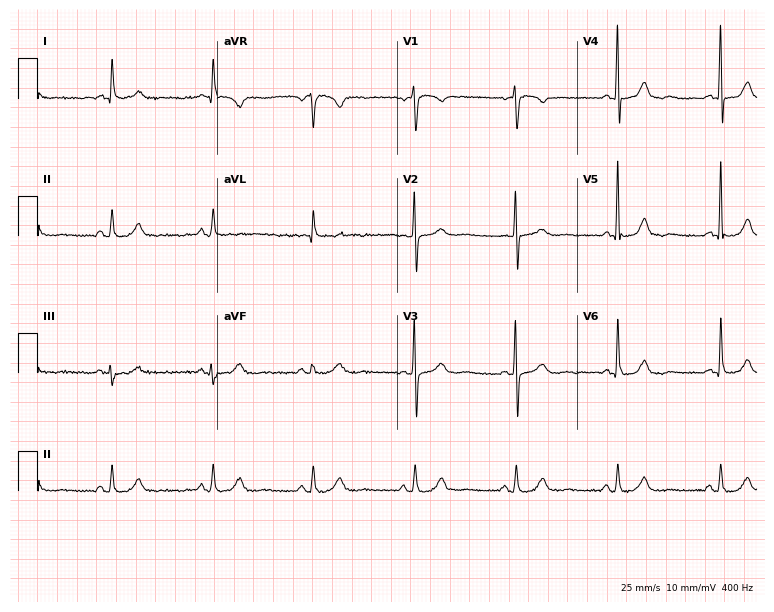
12-lead ECG (7.3-second recording at 400 Hz) from a female, 74 years old. Screened for six findings — first-degree AV block, right bundle branch block, left bundle branch block, sinus bradycardia, atrial fibrillation, sinus tachycardia — none is recorded.